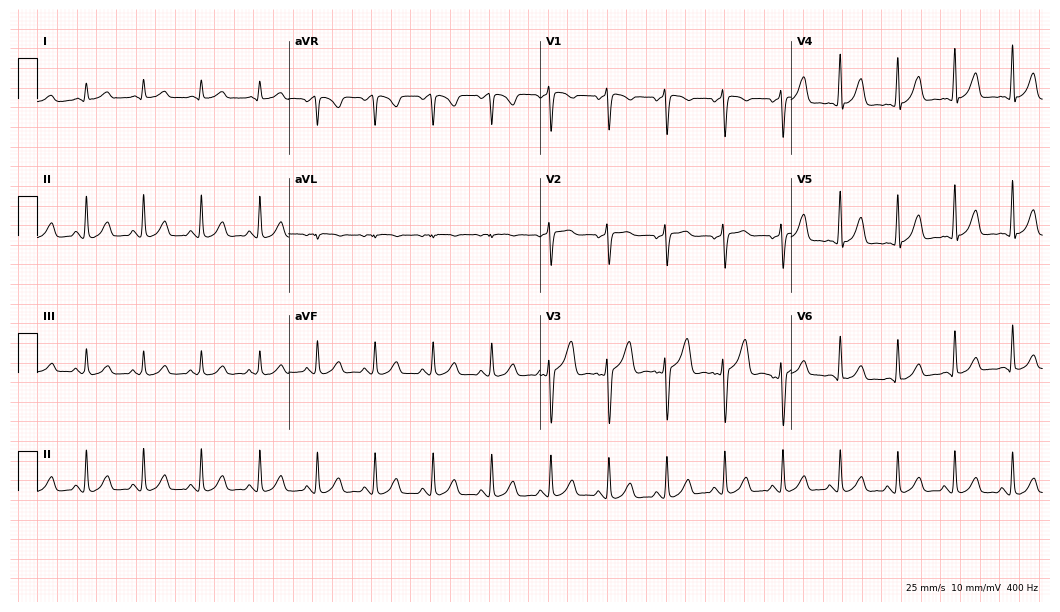
12-lead ECG from a 28-year-old male patient. Findings include sinus tachycardia (a sinus rate of 100 beats per minute or more).